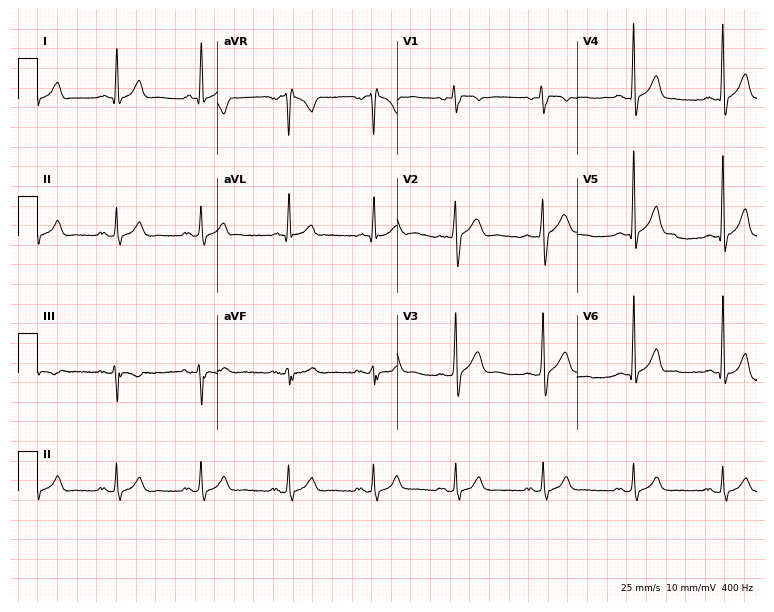
Electrocardiogram (7.3-second recording at 400 Hz), a 35-year-old man. Of the six screened findings (first-degree AV block, right bundle branch block, left bundle branch block, sinus bradycardia, atrial fibrillation, sinus tachycardia), none is recorded. Findings outside these six are not listed.